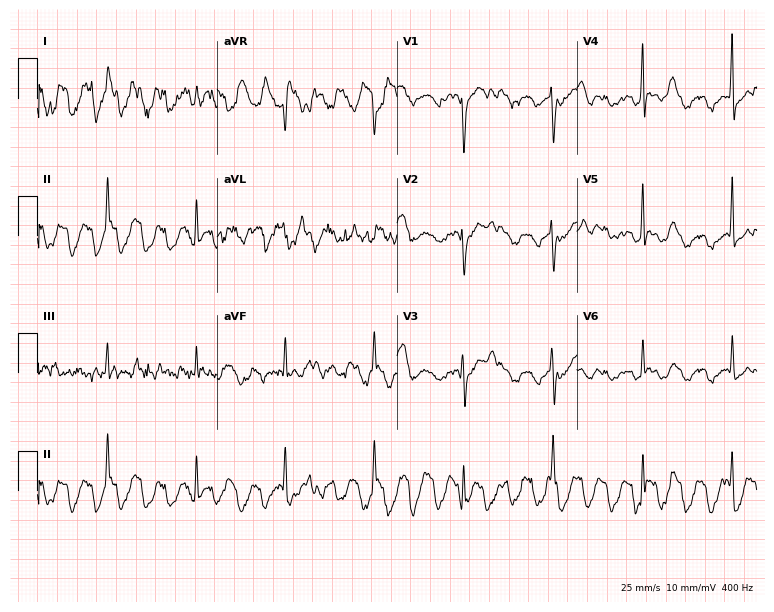
ECG — a male, 77 years old. Screened for six findings — first-degree AV block, right bundle branch block, left bundle branch block, sinus bradycardia, atrial fibrillation, sinus tachycardia — none is recorded. Findings outside these six are not listed.